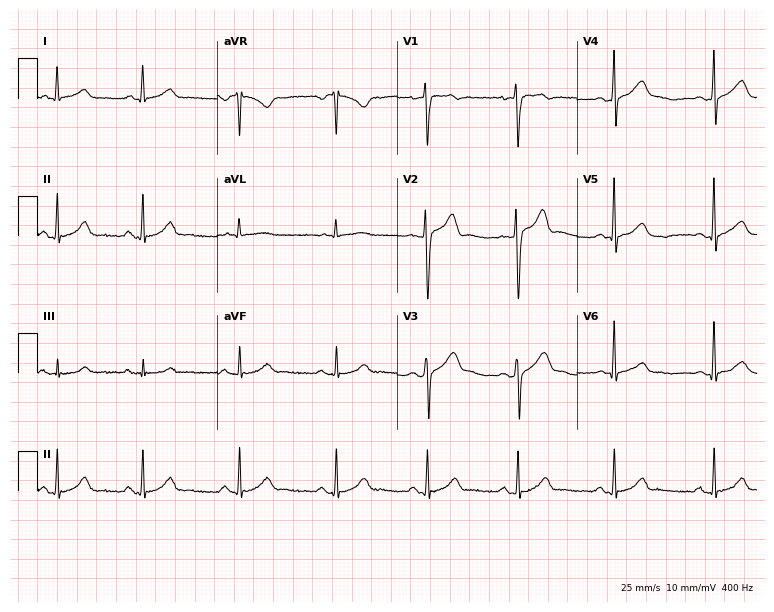
ECG — a man, 32 years old. Labelled as a normal ECG.